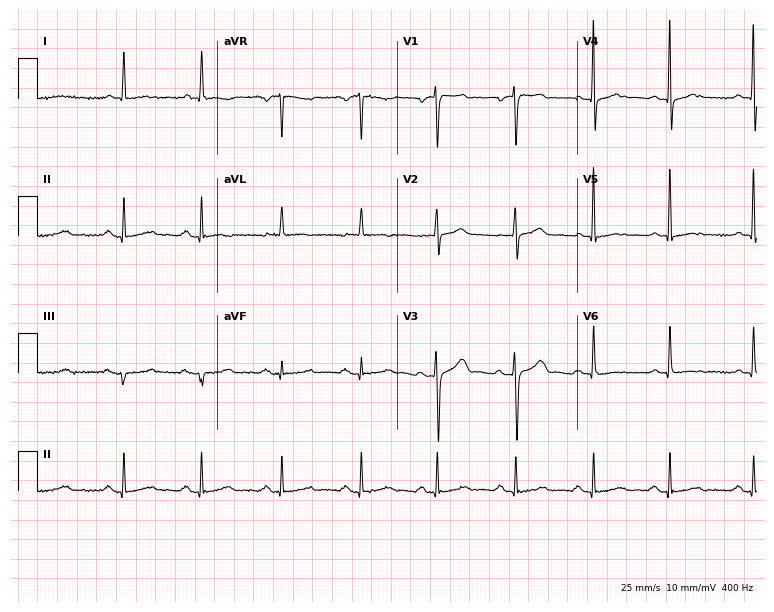
Standard 12-lead ECG recorded from a 79-year-old male. None of these six findings is recorded: first-degree AV block, right bundle branch block, left bundle branch block, sinus bradycardia, atrial fibrillation, sinus tachycardia. Findings outside these six are not listed.